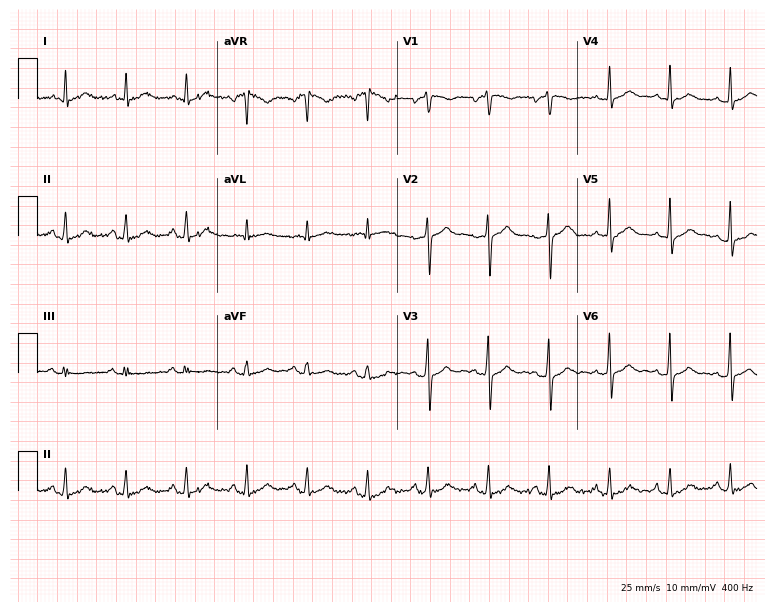
ECG — a 52-year-old man. Labelled as a normal ECG.